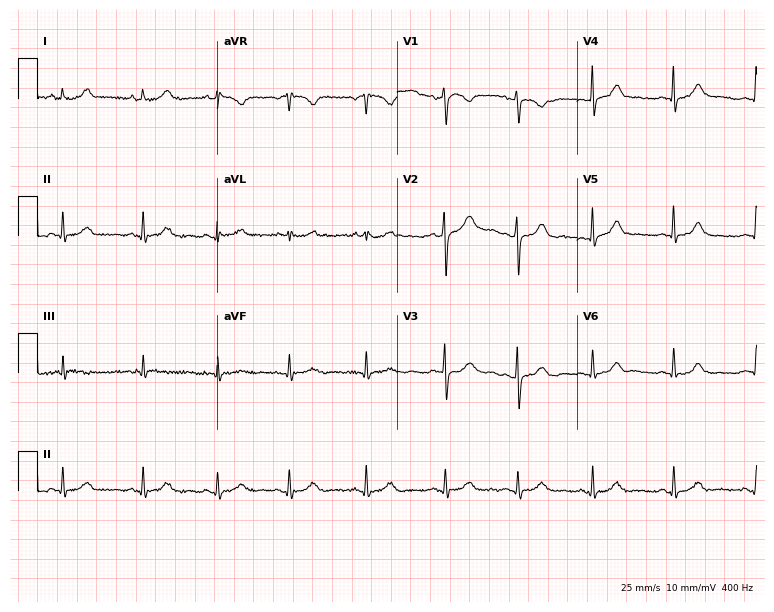
ECG — a female patient, 29 years old. Labelled as a normal ECG.